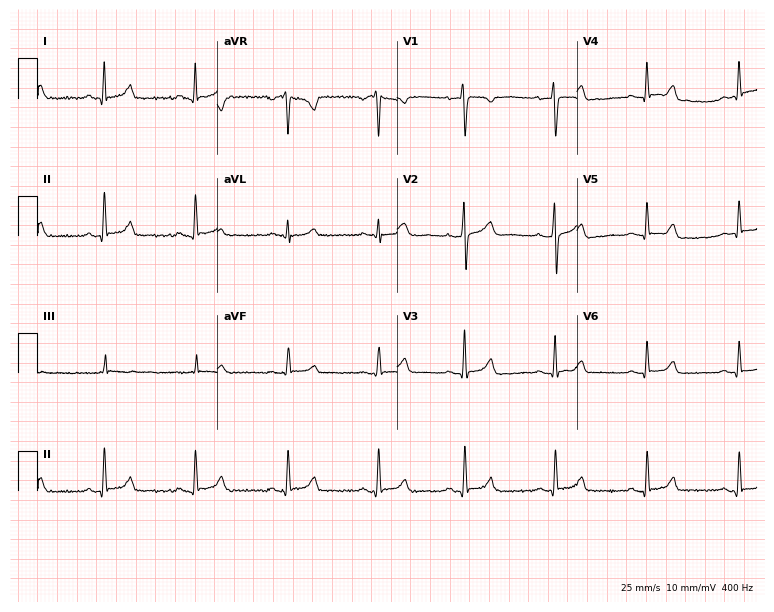
ECG (7.3-second recording at 400 Hz) — a female patient, 27 years old. Labelled as a normal ECG.